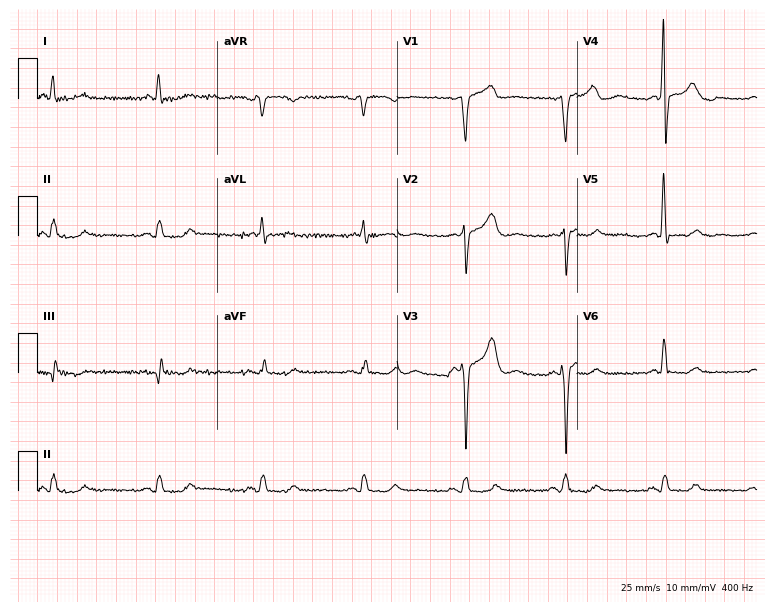
Resting 12-lead electrocardiogram. Patient: a male, 68 years old. Read as a normal ECG.